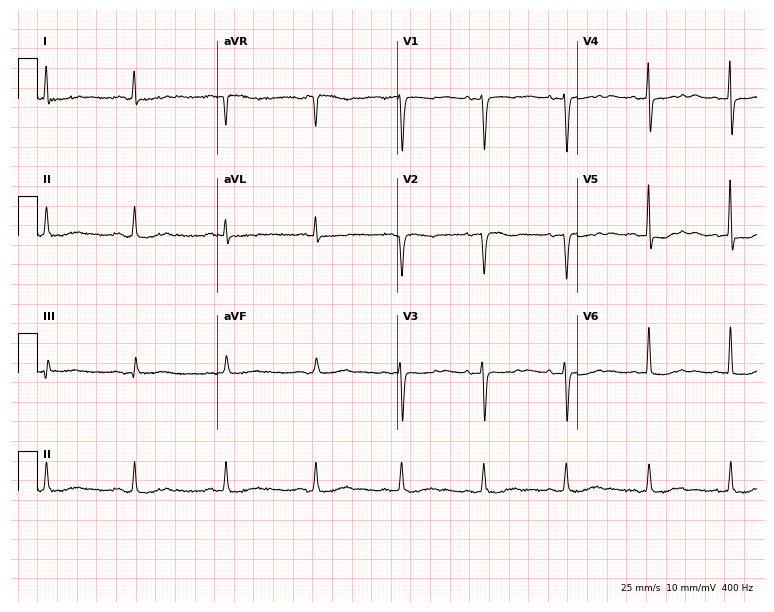
ECG — a female patient, 75 years old. Labelled as a normal ECG.